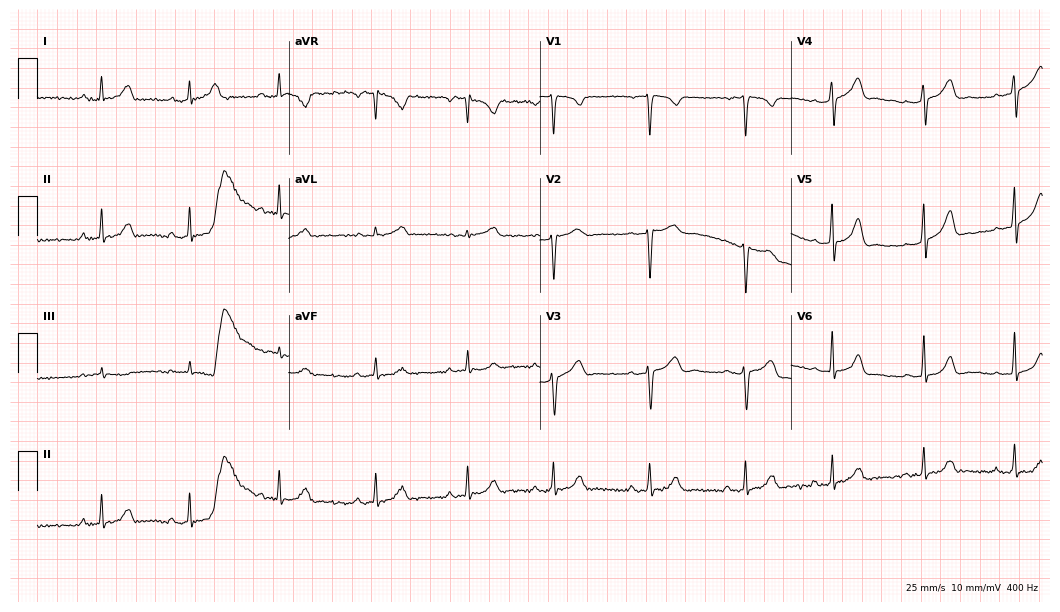
Standard 12-lead ECG recorded from a female patient, 20 years old. None of these six findings is recorded: first-degree AV block, right bundle branch block (RBBB), left bundle branch block (LBBB), sinus bradycardia, atrial fibrillation (AF), sinus tachycardia.